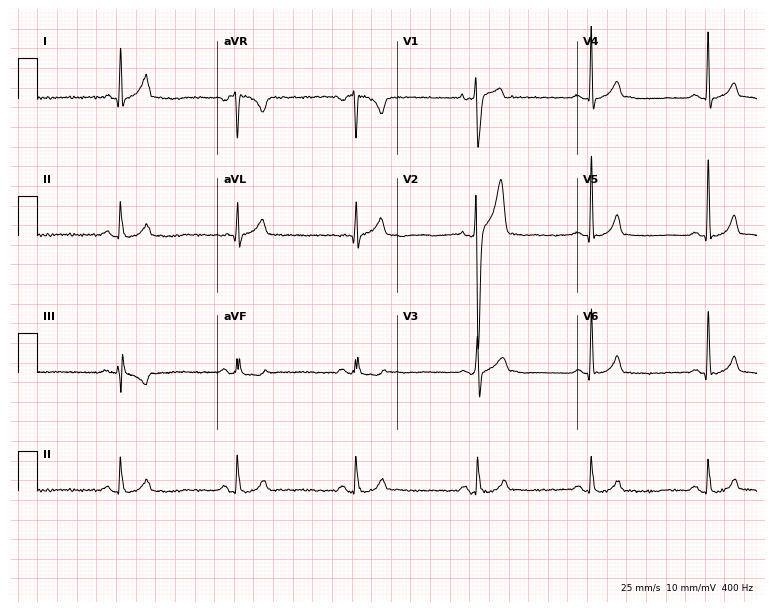
Electrocardiogram, a male patient, 36 years old. Overall reading on record: normal ECG.